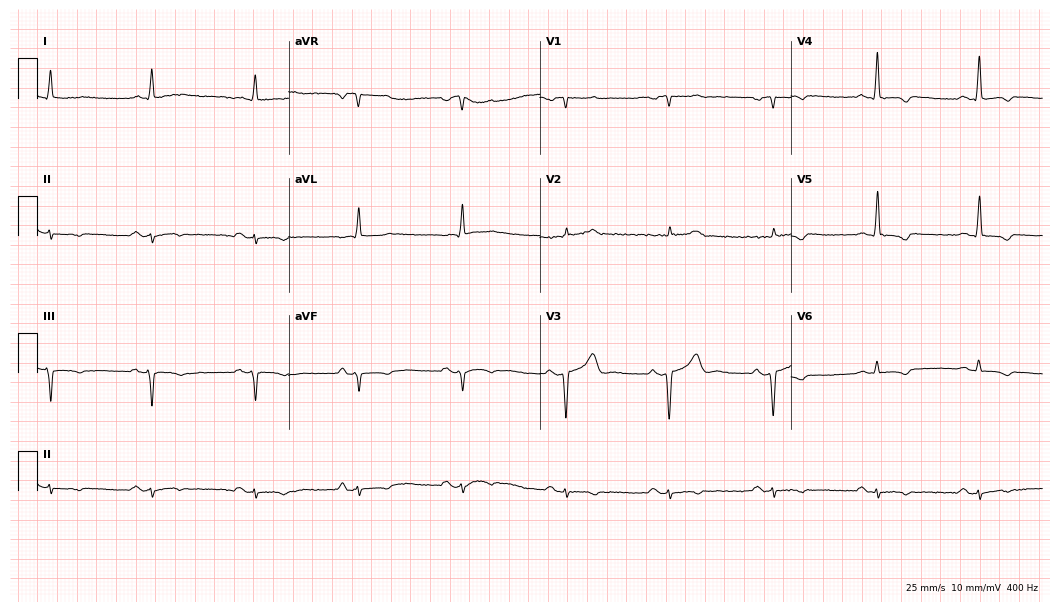
12-lead ECG from a 56-year-old man. Screened for six findings — first-degree AV block, right bundle branch block, left bundle branch block, sinus bradycardia, atrial fibrillation, sinus tachycardia — none is recorded.